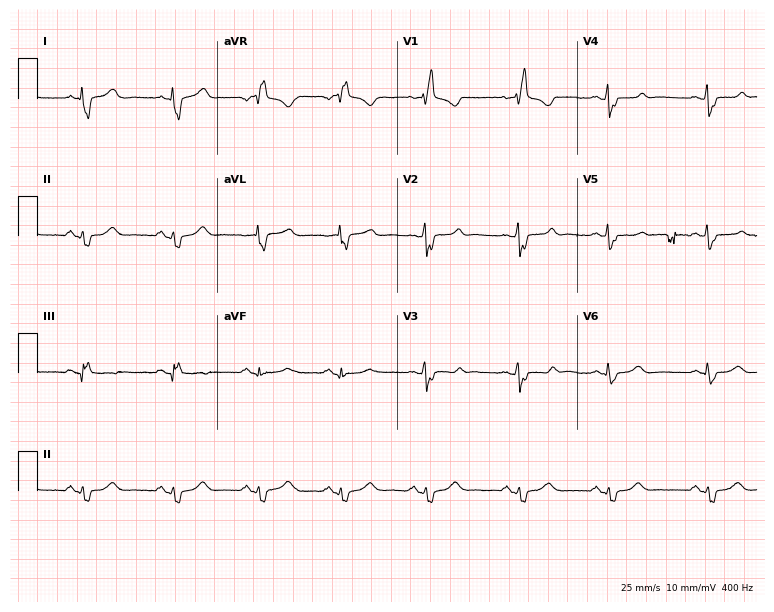
ECG (7.3-second recording at 400 Hz) — a 50-year-old woman. Findings include right bundle branch block.